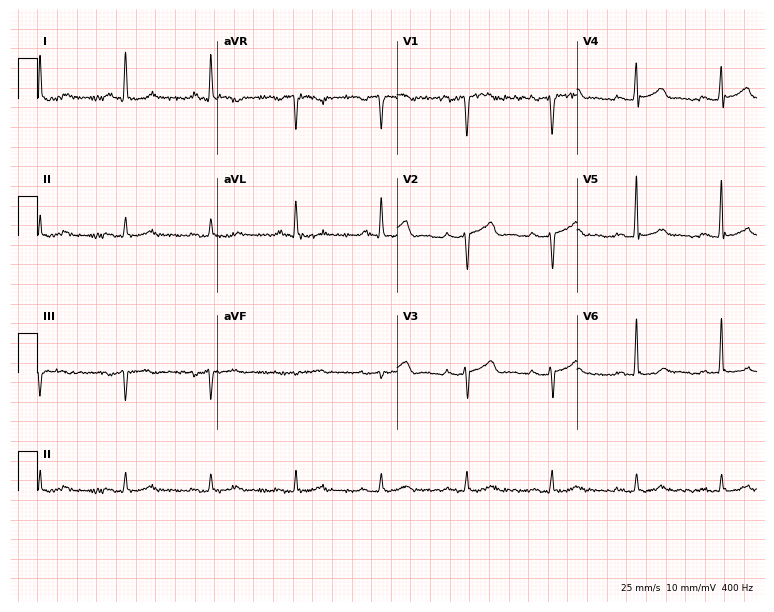
Standard 12-lead ECG recorded from a male, 85 years old (7.3-second recording at 400 Hz). None of these six findings is recorded: first-degree AV block, right bundle branch block, left bundle branch block, sinus bradycardia, atrial fibrillation, sinus tachycardia. Only these six findings were labelled.